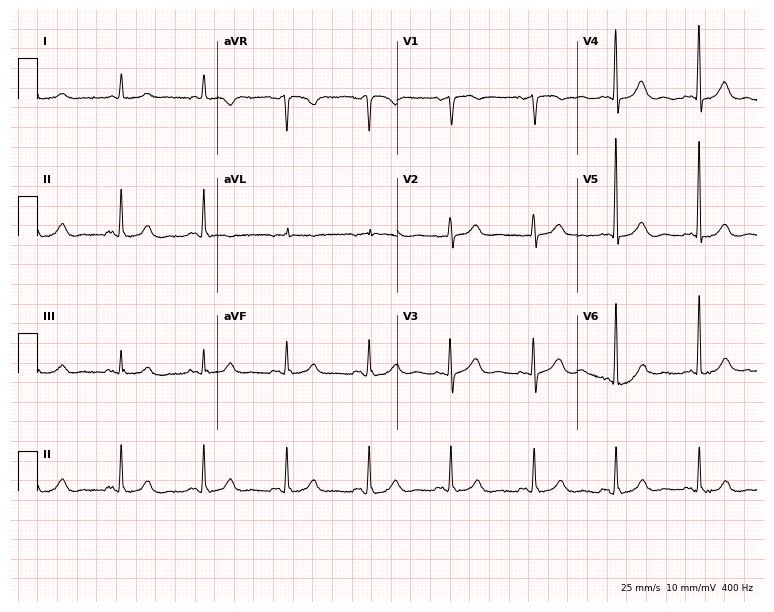
Electrocardiogram, a female, 84 years old. Of the six screened findings (first-degree AV block, right bundle branch block, left bundle branch block, sinus bradycardia, atrial fibrillation, sinus tachycardia), none is recorded.